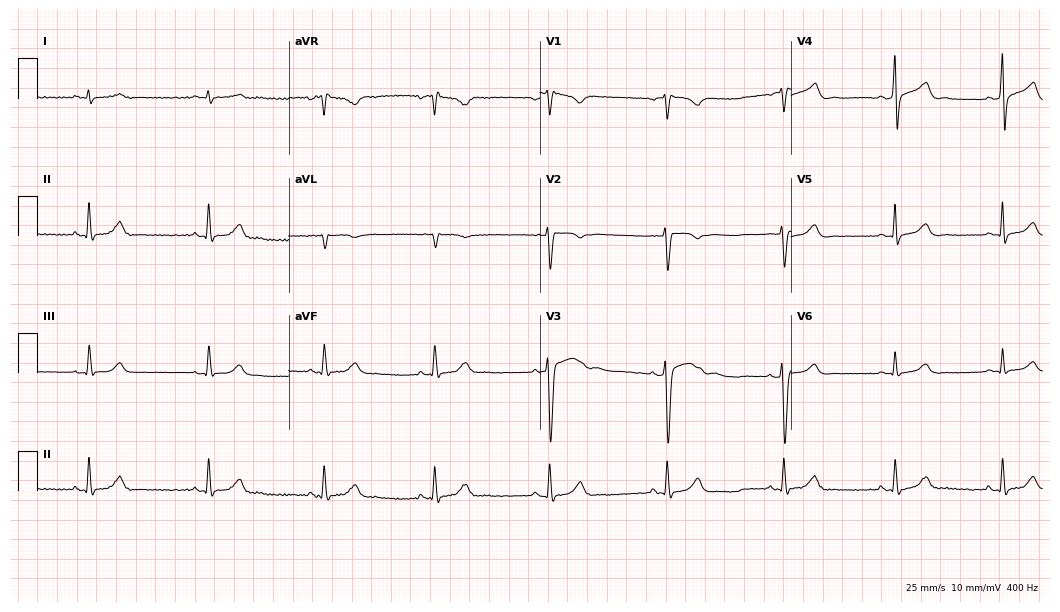
Electrocardiogram, a 57-year-old man. Of the six screened findings (first-degree AV block, right bundle branch block, left bundle branch block, sinus bradycardia, atrial fibrillation, sinus tachycardia), none is recorded. Findings outside these six are not listed.